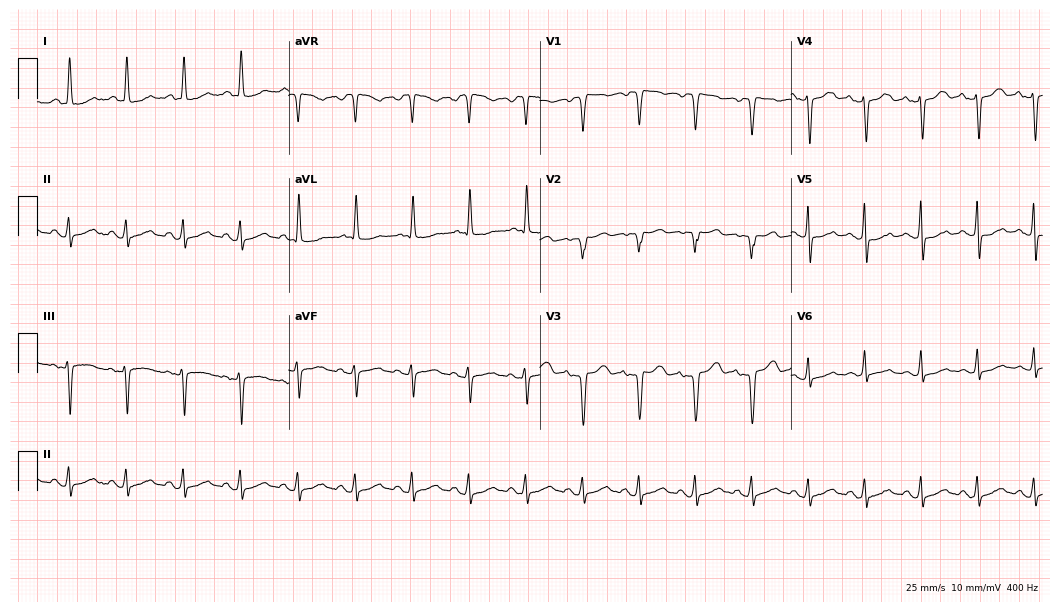
12-lead ECG (10.2-second recording at 400 Hz) from a female, 60 years old. Findings include sinus tachycardia (a sinus rate of 100 beats per minute or more).